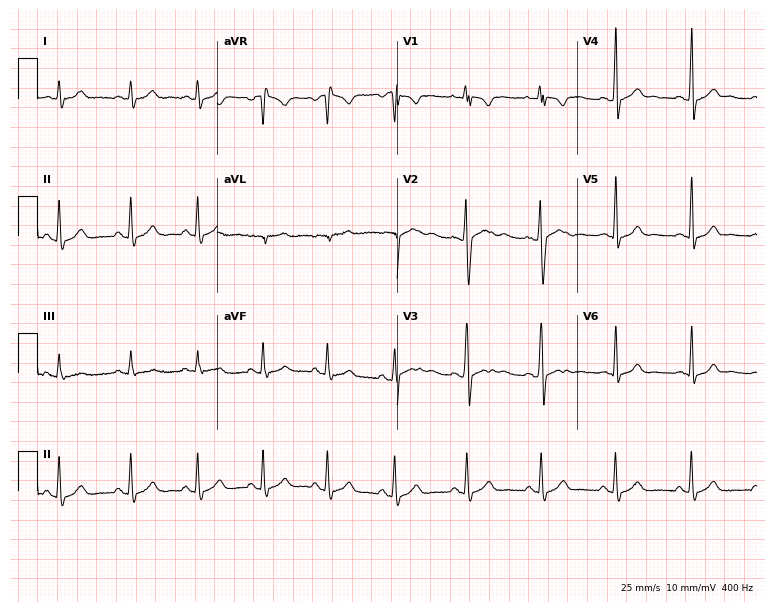
Resting 12-lead electrocardiogram. Patient: a 21-year-old man. None of these six findings is recorded: first-degree AV block, right bundle branch block, left bundle branch block, sinus bradycardia, atrial fibrillation, sinus tachycardia. Findings outside these six are not listed.